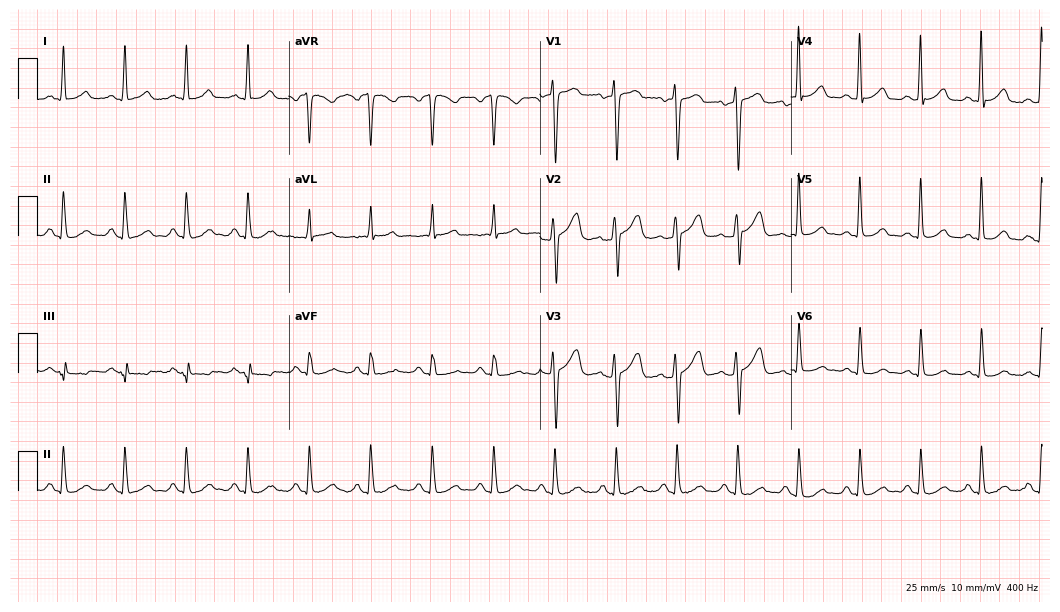
12-lead ECG from a 47-year-old female patient. Labelled as a normal ECG.